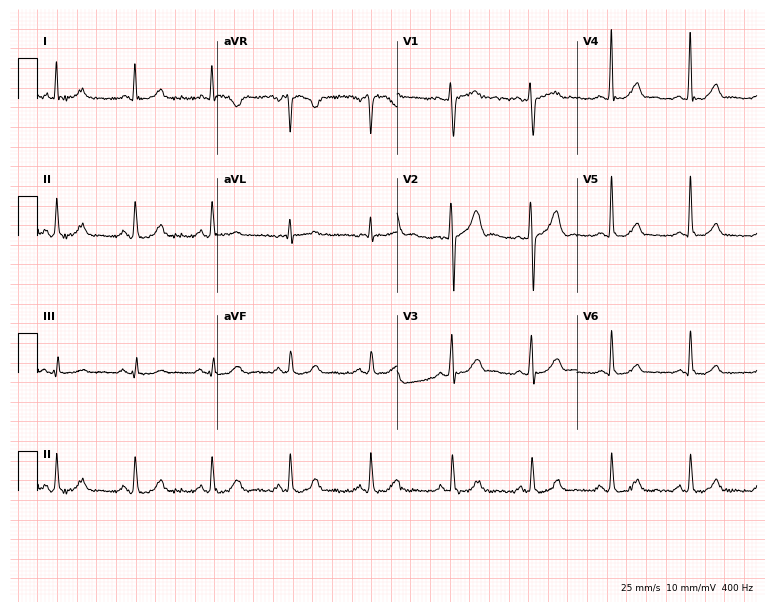
Resting 12-lead electrocardiogram. Patient: a 44-year-old male. Read as a normal ECG.